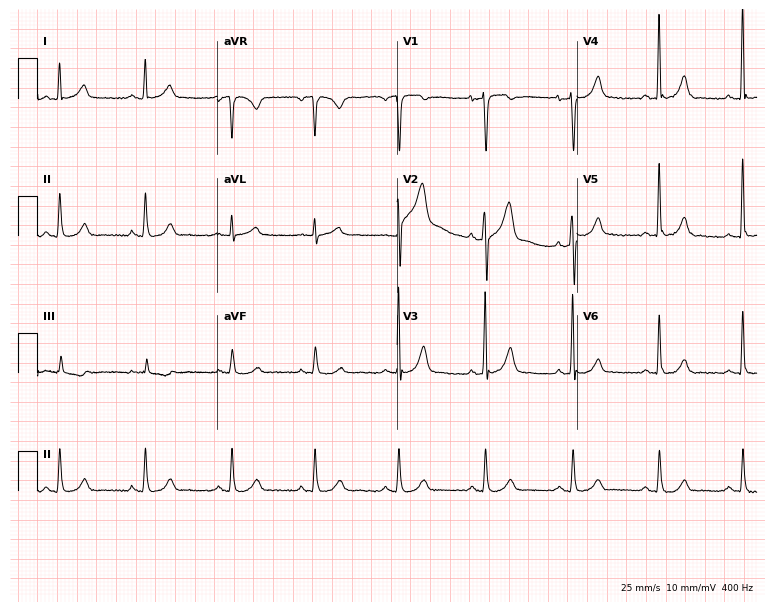
ECG (7.3-second recording at 400 Hz) — a 58-year-old male. Labelled as a normal ECG.